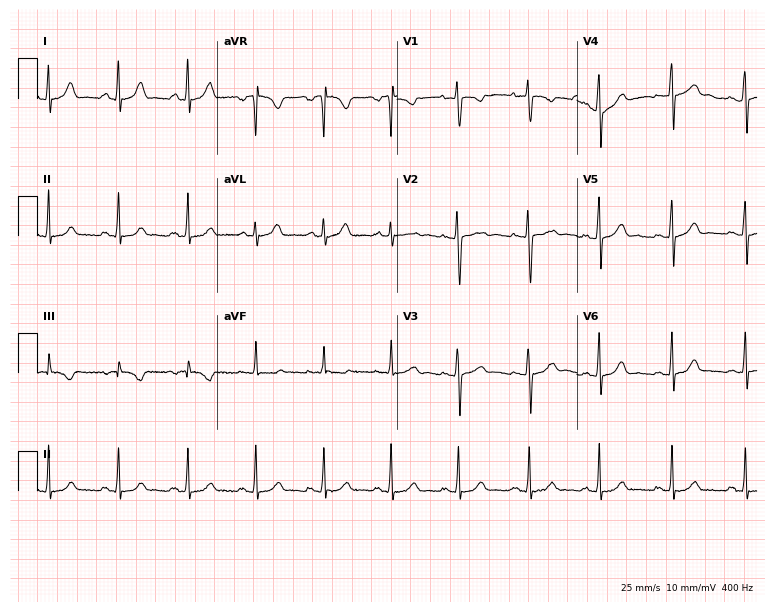
Electrocardiogram (7.3-second recording at 400 Hz), a 22-year-old woman. Of the six screened findings (first-degree AV block, right bundle branch block (RBBB), left bundle branch block (LBBB), sinus bradycardia, atrial fibrillation (AF), sinus tachycardia), none is recorded. Findings outside these six are not listed.